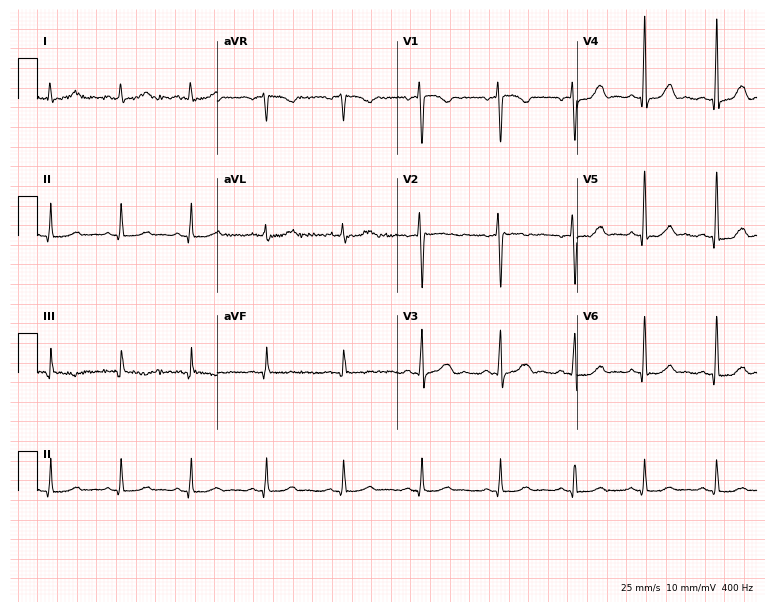
12-lead ECG from a 41-year-old female patient. Recorded interpretation: within normal limits.